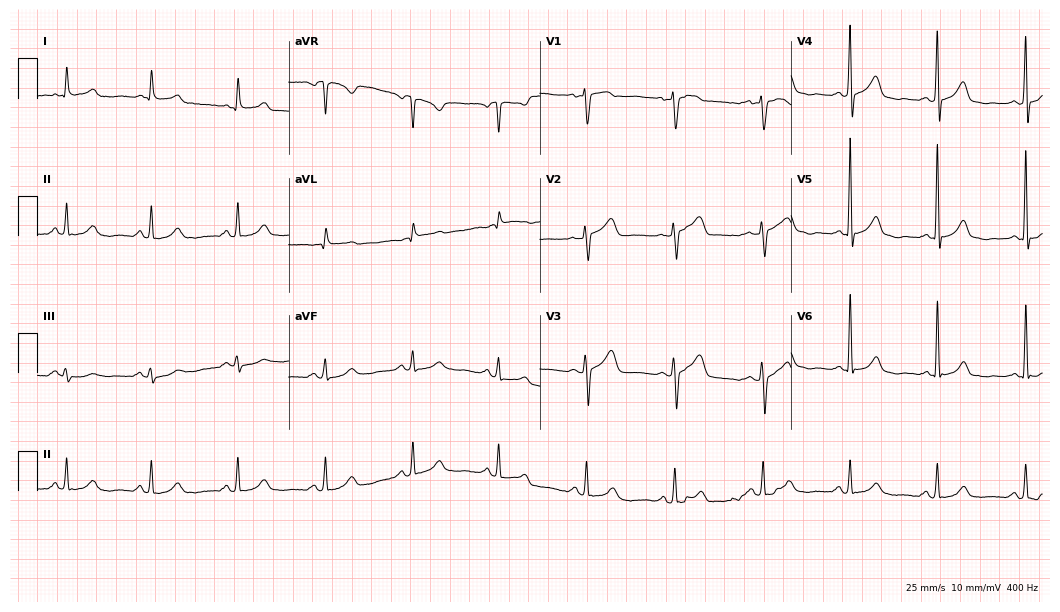
Electrocardiogram (10.2-second recording at 400 Hz), a woman, 60 years old. Overall reading on record: normal ECG.